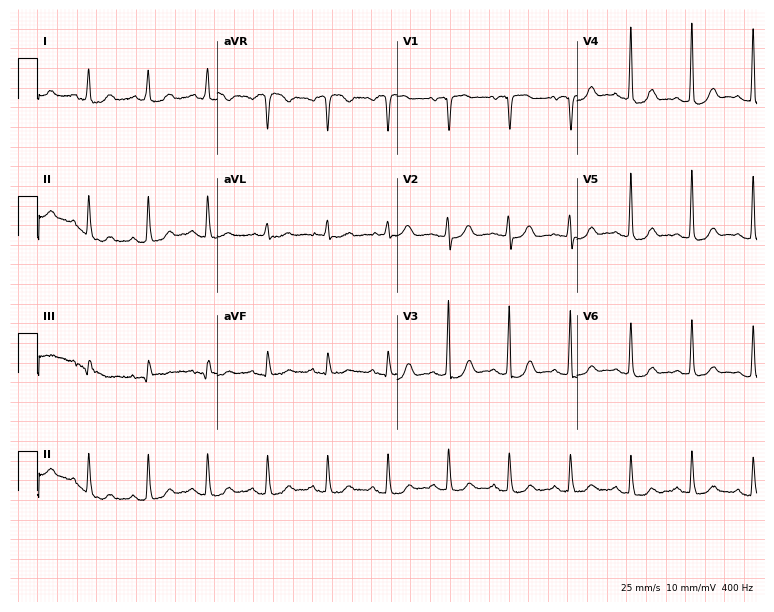
ECG — an 84-year-old woman. Screened for six findings — first-degree AV block, right bundle branch block, left bundle branch block, sinus bradycardia, atrial fibrillation, sinus tachycardia — none is recorded.